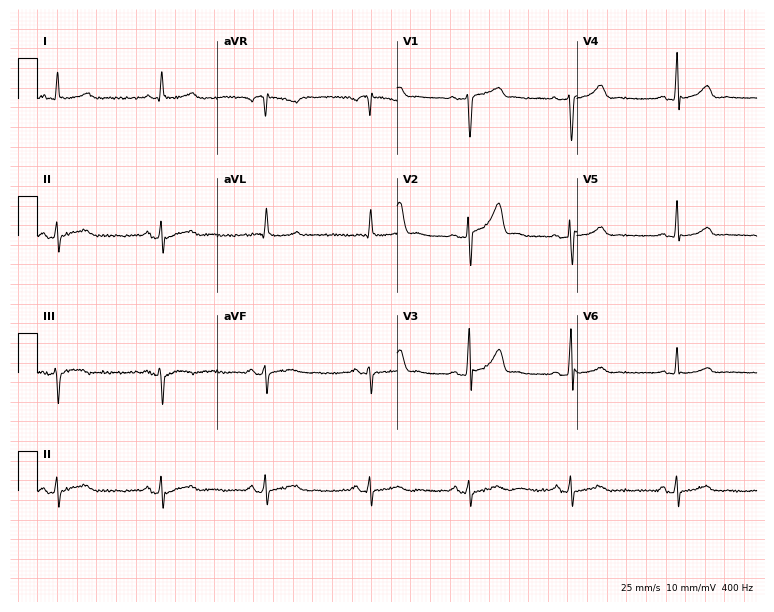
Electrocardiogram, a male, 49 years old. Overall reading on record: normal ECG.